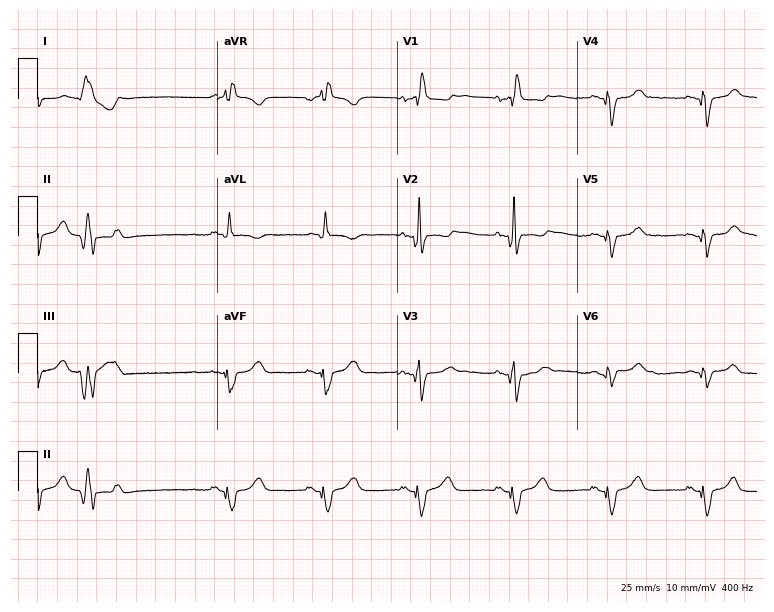
Resting 12-lead electrocardiogram (7.3-second recording at 400 Hz). Patient: a 66-year-old male. The tracing shows right bundle branch block.